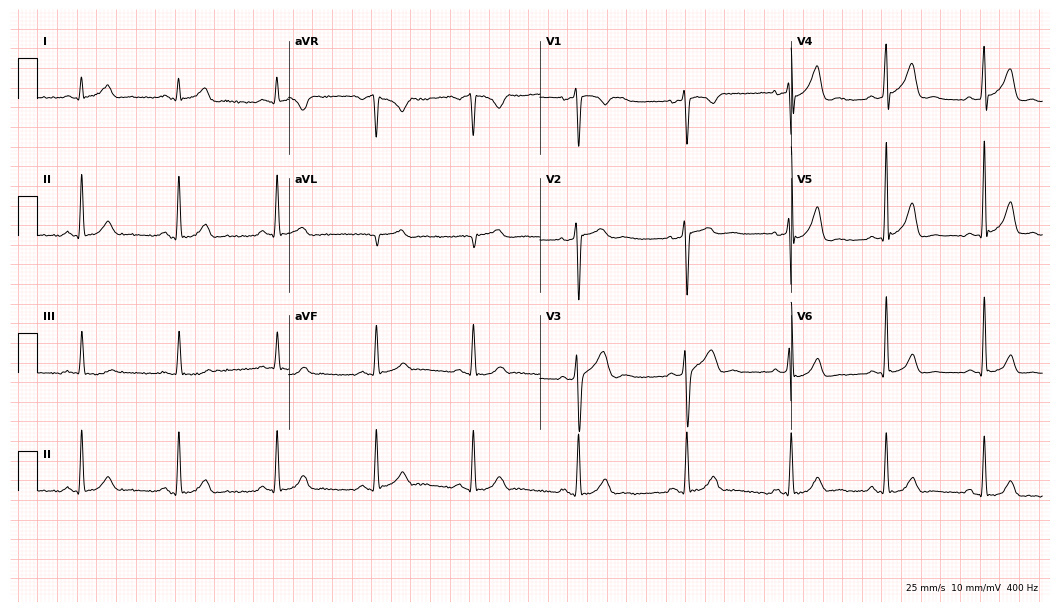
ECG — a 35-year-old man. Labelled as a normal ECG.